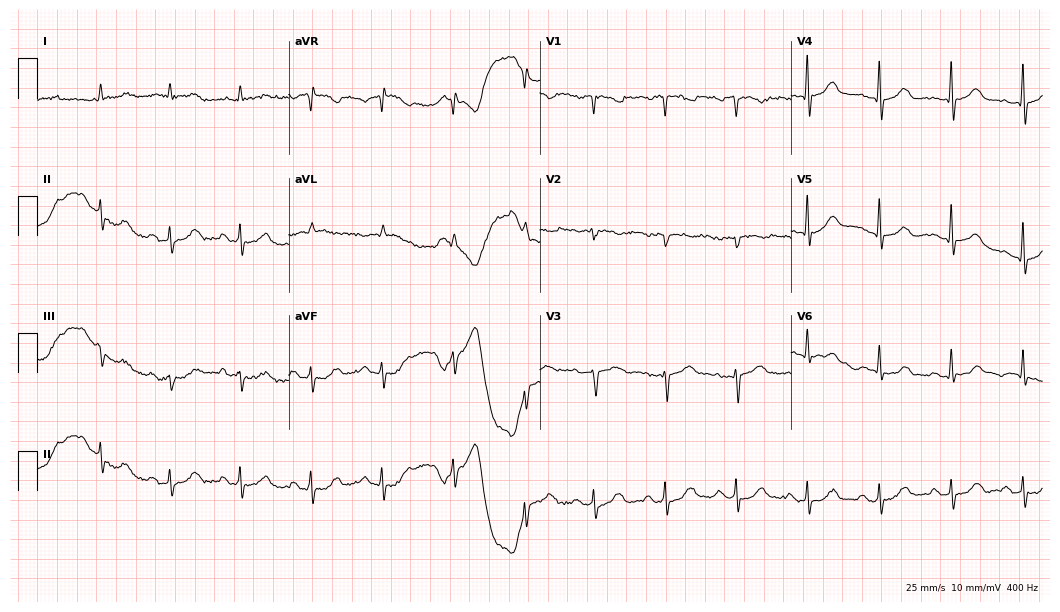
12-lead ECG from a 75-year-old male (10.2-second recording at 400 Hz). Recorded interpretation: within normal limits.